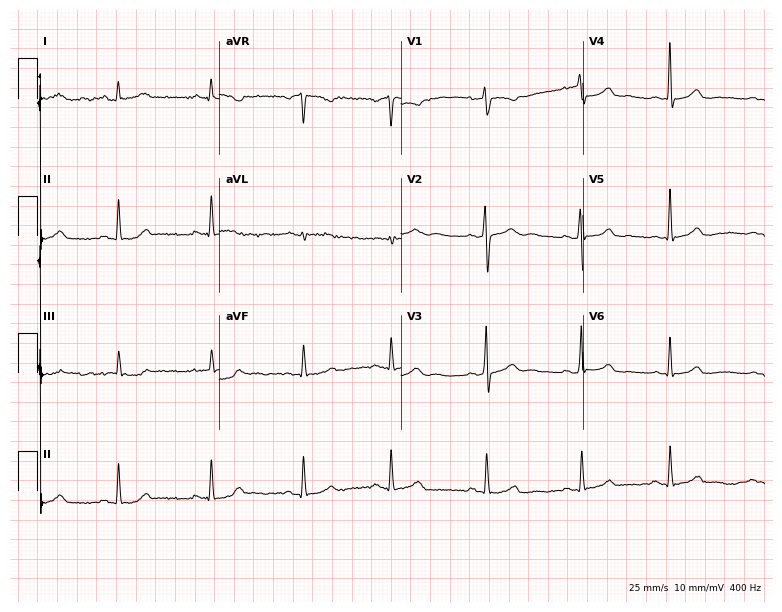
Resting 12-lead electrocardiogram. Patient: a 20-year-old female. Read as a normal ECG.